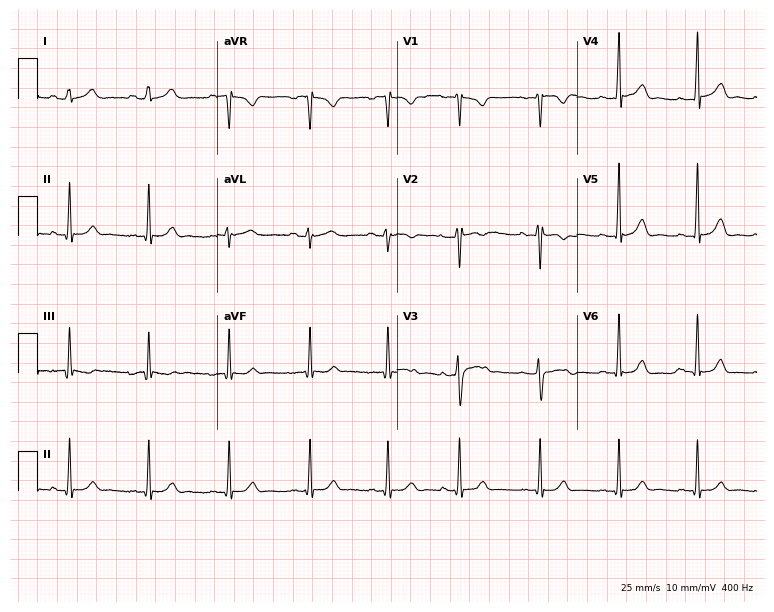
ECG (7.3-second recording at 400 Hz) — a female, 26 years old. Labelled as a normal ECG.